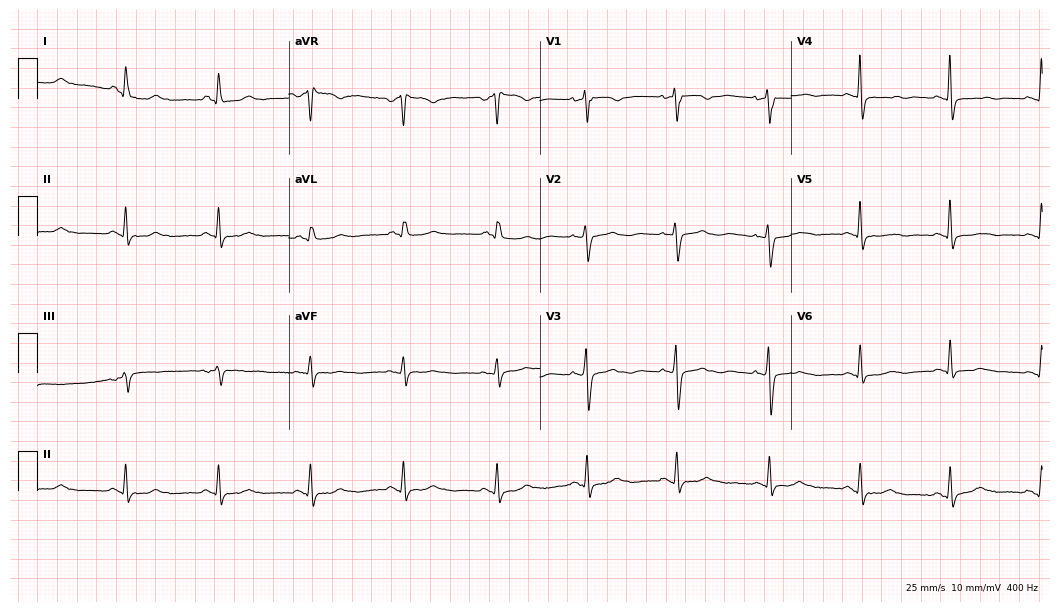
Electrocardiogram, a 61-year-old woman. Of the six screened findings (first-degree AV block, right bundle branch block (RBBB), left bundle branch block (LBBB), sinus bradycardia, atrial fibrillation (AF), sinus tachycardia), none is recorded.